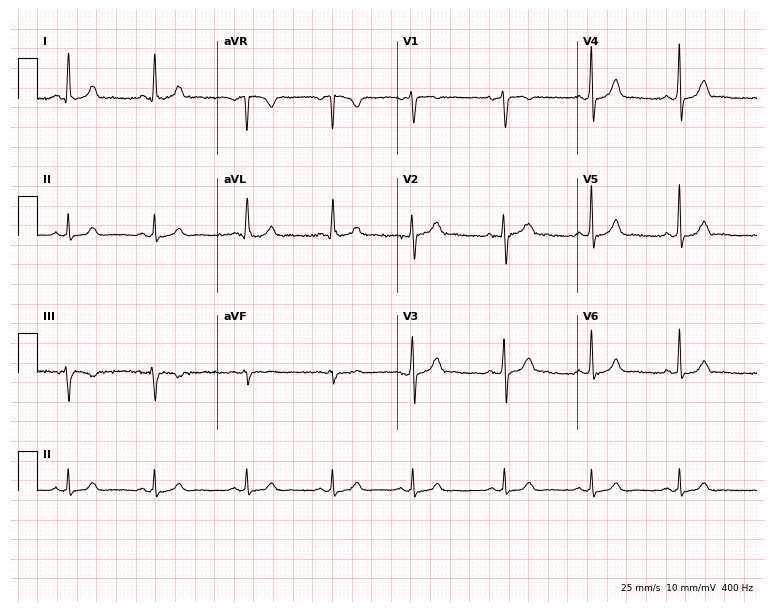
Electrocardiogram, a 25-year-old female patient. Overall reading on record: normal ECG.